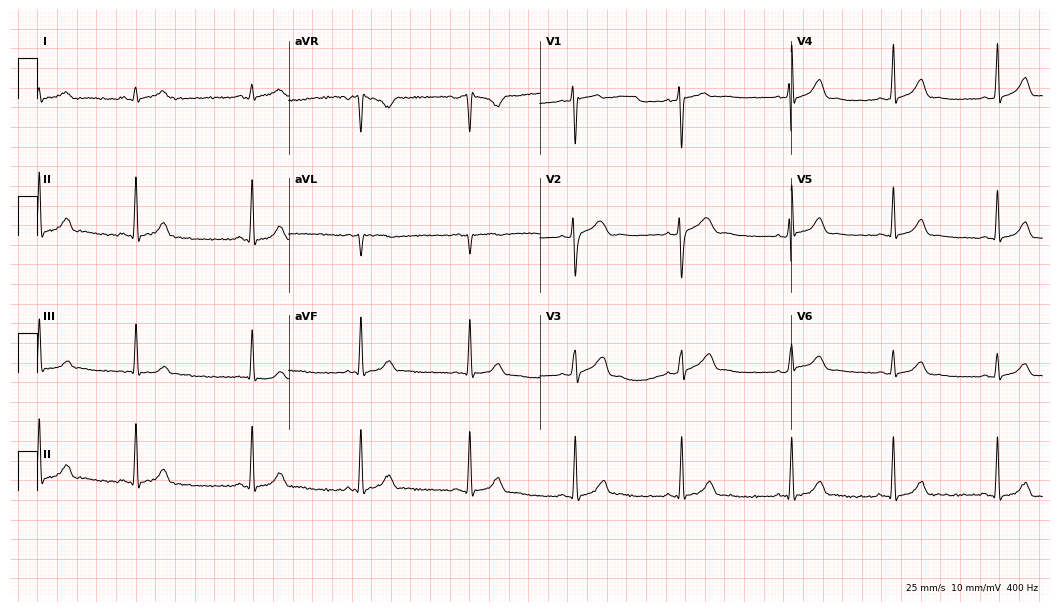
Standard 12-lead ECG recorded from a 29-year-old woman (10.2-second recording at 400 Hz). None of these six findings is recorded: first-degree AV block, right bundle branch block, left bundle branch block, sinus bradycardia, atrial fibrillation, sinus tachycardia.